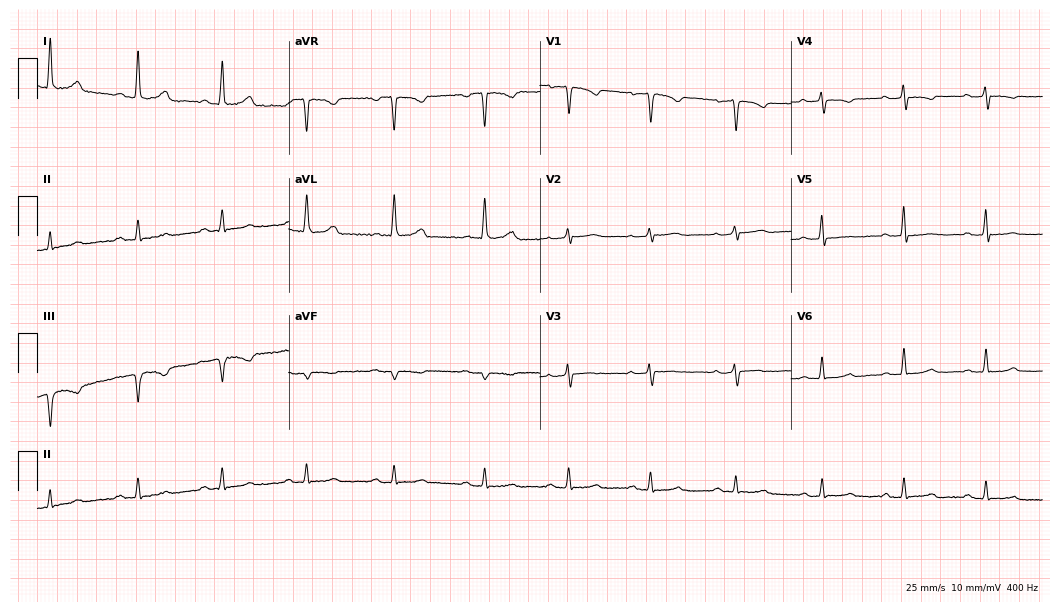
12-lead ECG from a female patient, 51 years old. Screened for six findings — first-degree AV block, right bundle branch block, left bundle branch block, sinus bradycardia, atrial fibrillation, sinus tachycardia — none is recorded.